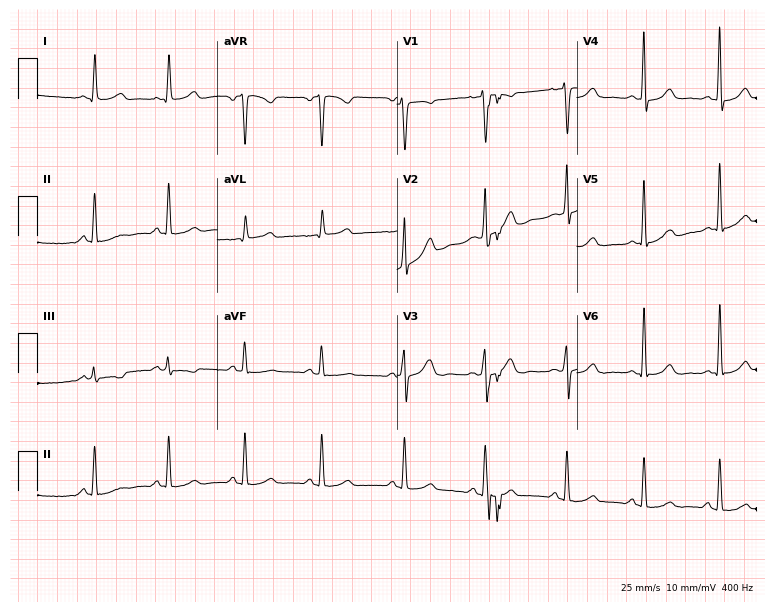
12-lead ECG from a female, 40 years old. No first-degree AV block, right bundle branch block (RBBB), left bundle branch block (LBBB), sinus bradycardia, atrial fibrillation (AF) or sinus tachycardia recorded for this tracing. Other findings, if any, are not listed.